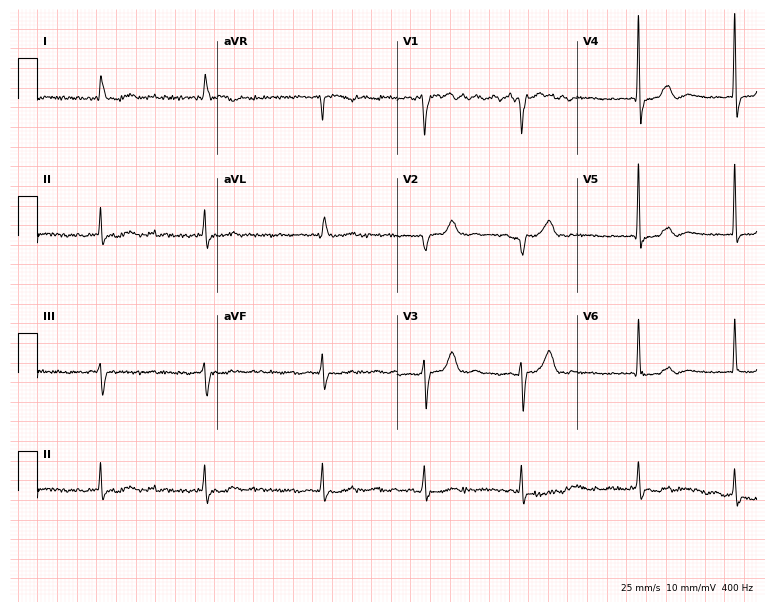
ECG (7.3-second recording at 400 Hz) — a male patient, 82 years old. Findings include atrial fibrillation.